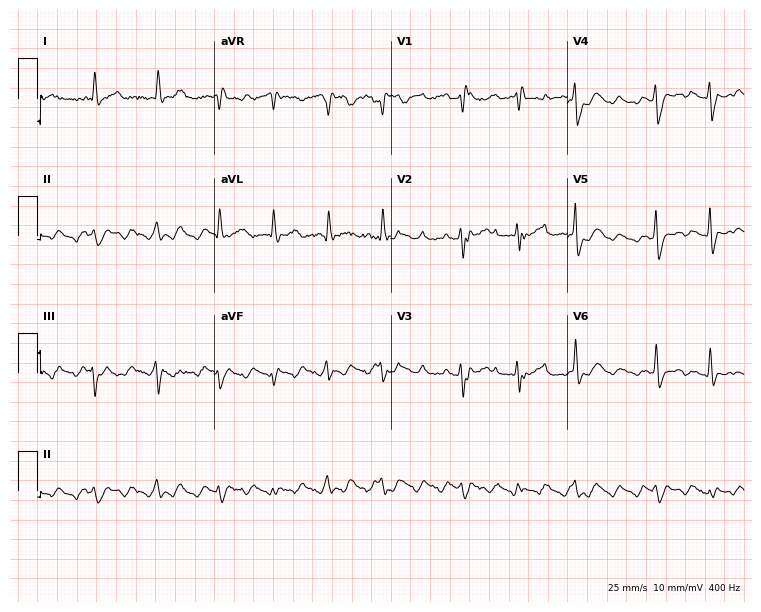
Resting 12-lead electrocardiogram (7.2-second recording at 400 Hz). Patient: a male, 81 years old. None of these six findings is recorded: first-degree AV block, right bundle branch block (RBBB), left bundle branch block (LBBB), sinus bradycardia, atrial fibrillation (AF), sinus tachycardia.